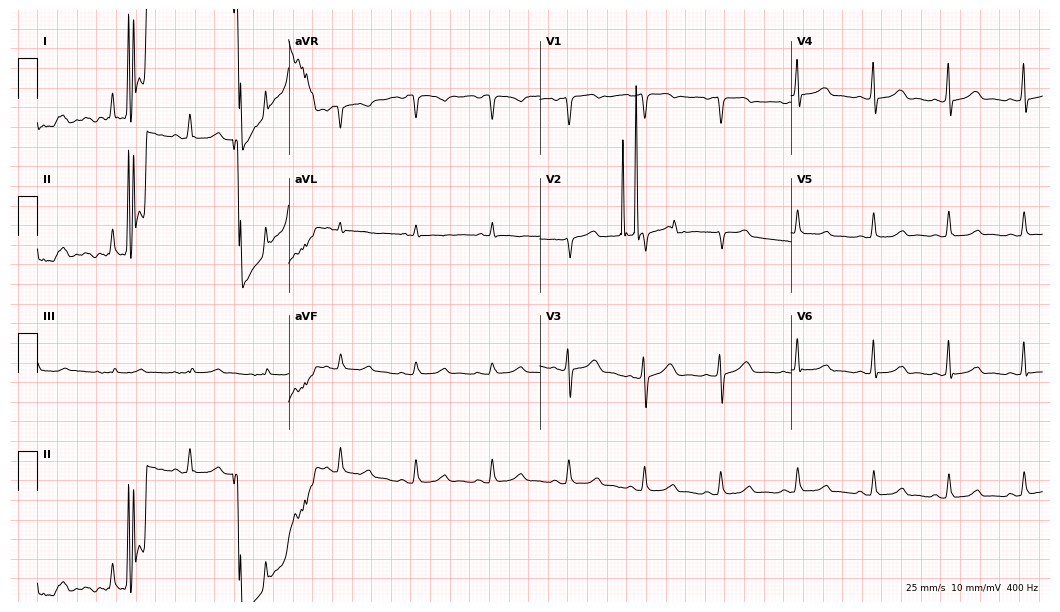
12-lead ECG from a 57-year-old woman (10.2-second recording at 400 Hz). No first-degree AV block, right bundle branch block (RBBB), left bundle branch block (LBBB), sinus bradycardia, atrial fibrillation (AF) or sinus tachycardia recorded for this tracing. Only these six findings were labelled.